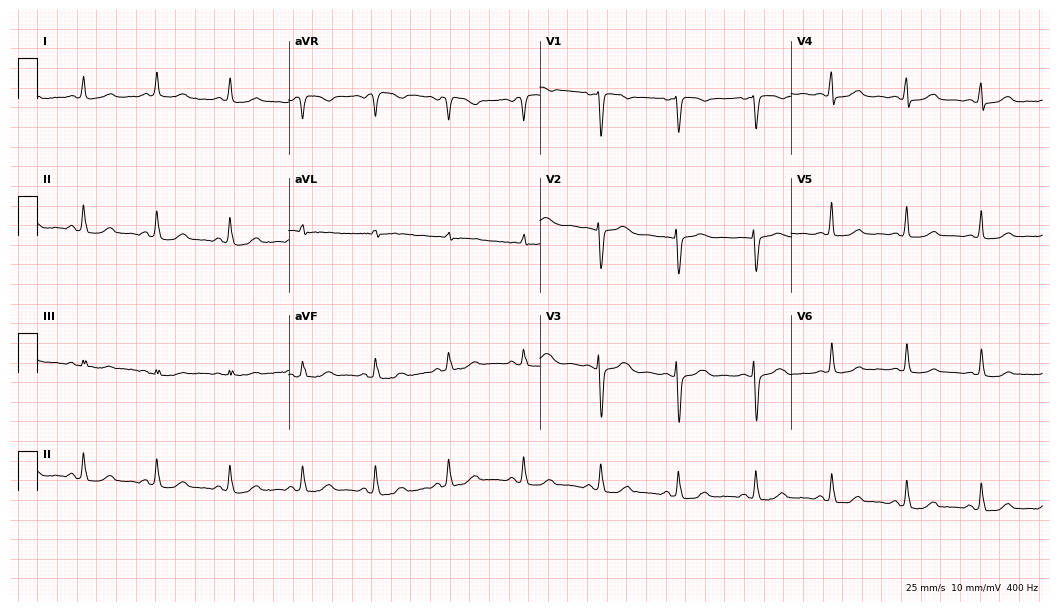
Electrocardiogram, a 61-year-old female patient. Overall reading on record: normal ECG.